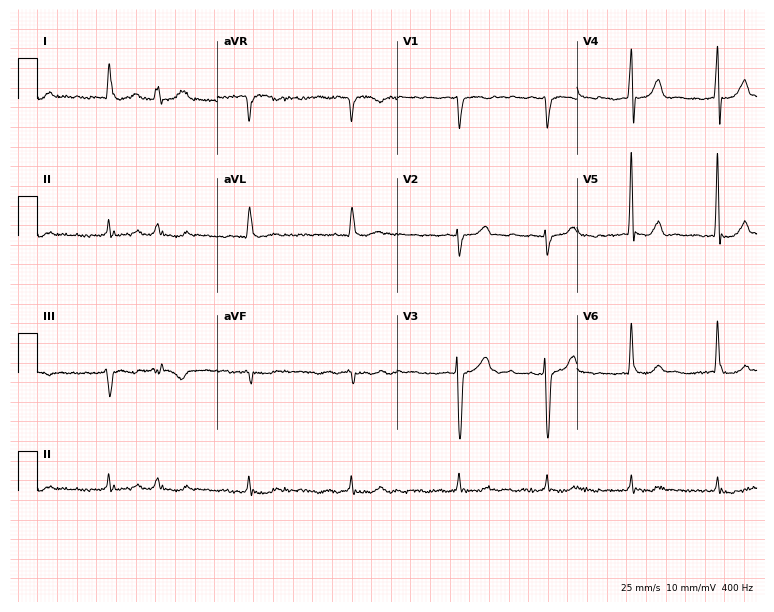
Resting 12-lead electrocardiogram. Patient: a male, 71 years old. The tracing shows atrial fibrillation (AF).